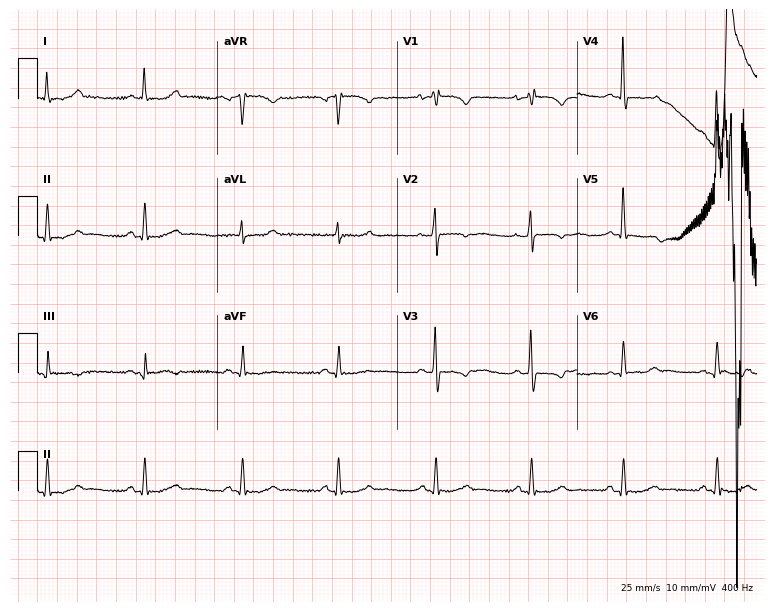
12-lead ECG from a woman, 64 years old. Screened for six findings — first-degree AV block, right bundle branch block, left bundle branch block, sinus bradycardia, atrial fibrillation, sinus tachycardia — none is recorded. Other findings, if any, are not listed.